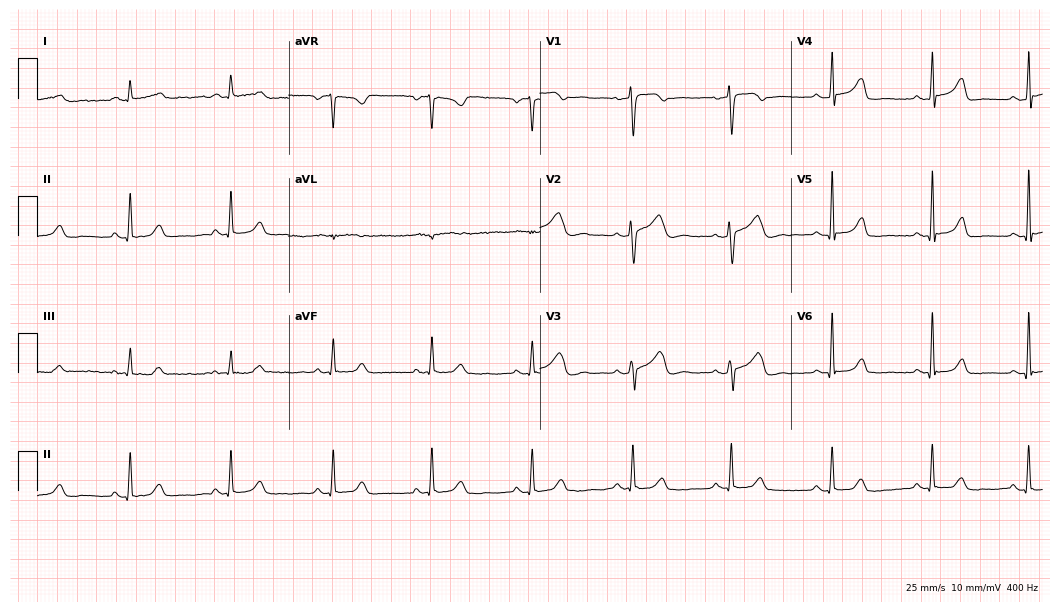
ECG (10.2-second recording at 400 Hz) — a woman, 56 years old. Screened for six findings — first-degree AV block, right bundle branch block (RBBB), left bundle branch block (LBBB), sinus bradycardia, atrial fibrillation (AF), sinus tachycardia — none is recorded. Only these six findings were labelled.